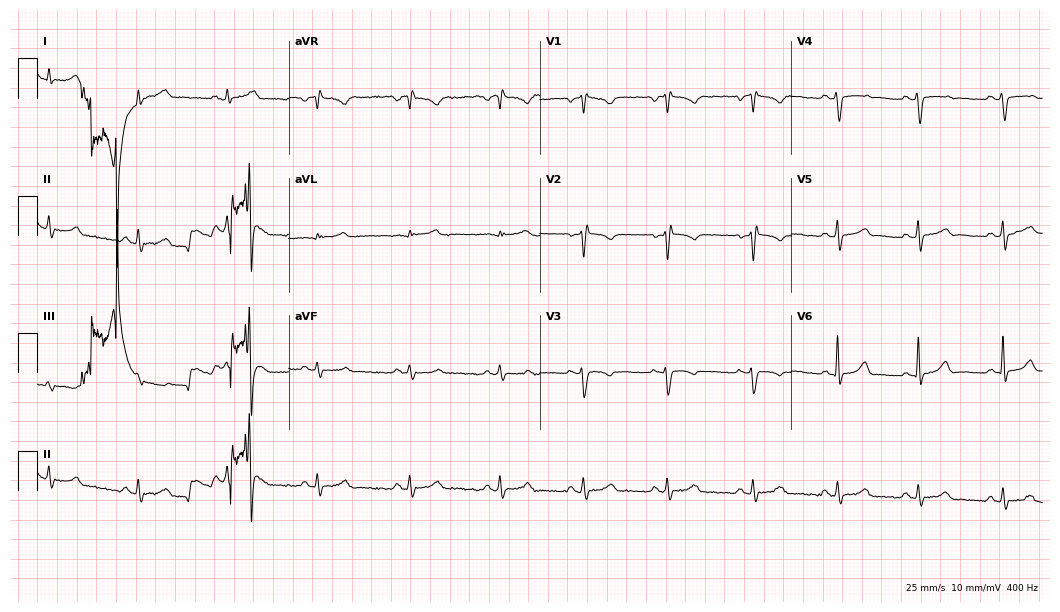
Electrocardiogram, a female patient, 25 years old. Of the six screened findings (first-degree AV block, right bundle branch block, left bundle branch block, sinus bradycardia, atrial fibrillation, sinus tachycardia), none is recorded. Other findings, if any, are not listed.